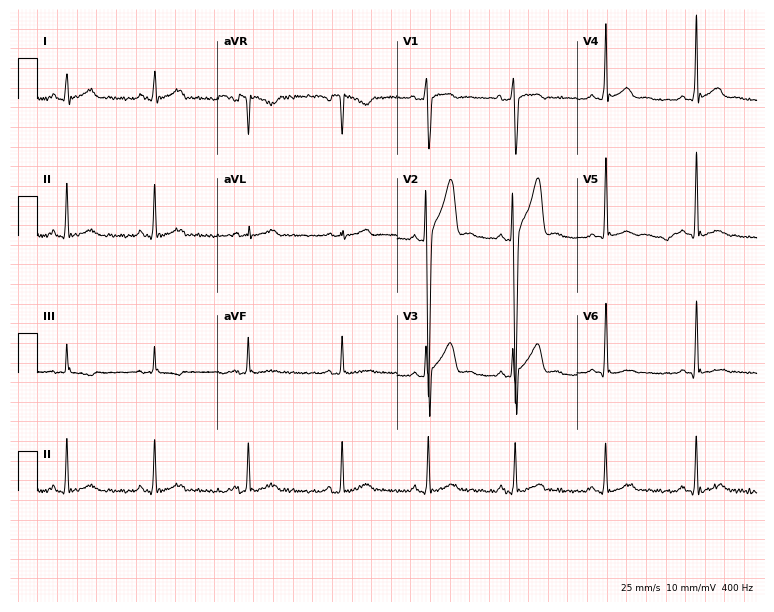
12-lead ECG from a male patient, 21 years old (7.3-second recording at 400 Hz). No first-degree AV block, right bundle branch block, left bundle branch block, sinus bradycardia, atrial fibrillation or sinus tachycardia recorded for this tracing.